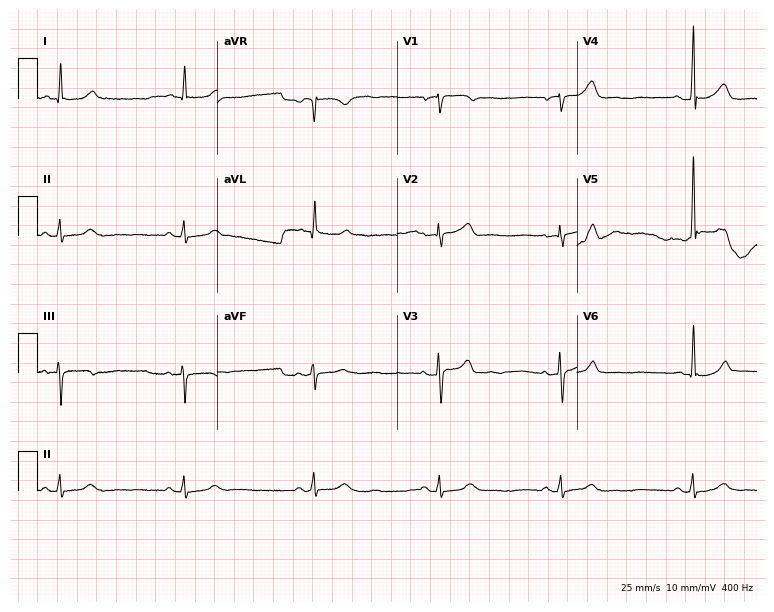
12-lead ECG (7.3-second recording at 400 Hz) from a male, 68 years old. Screened for six findings — first-degree AV block, right bundle branch block (RBBB), left bundle branch block (LBBB), sinus bradycardia, atrial fibrillation (AF), sinus tachycardia — none is recorded. Findings outside these six are not listed.